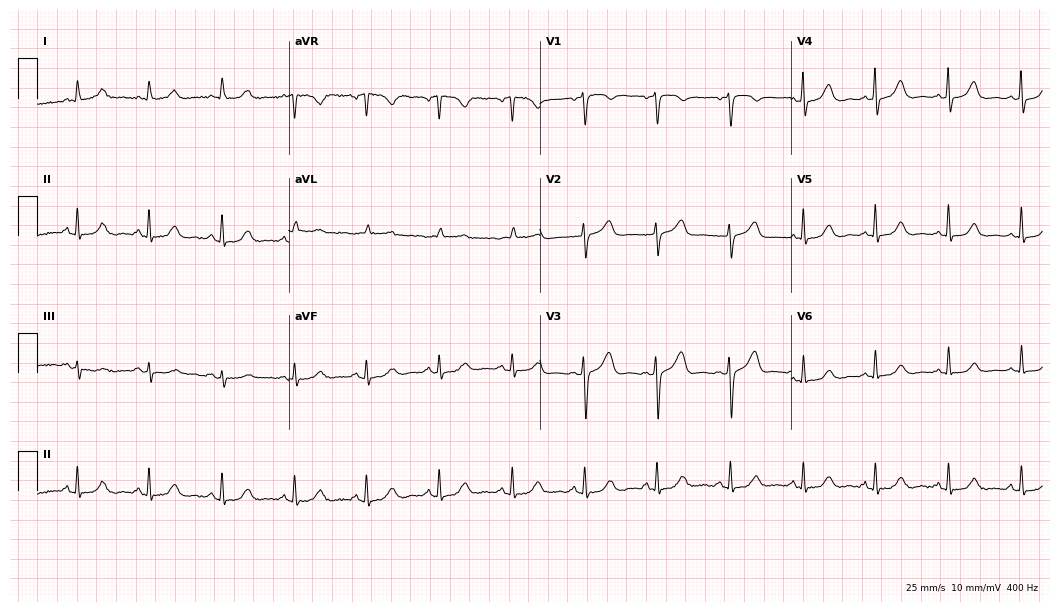
Standard 12-lead ECG recorded from a woman, 75 years old (10.2-second recording at 400 Hz). Read as a normal ECG.